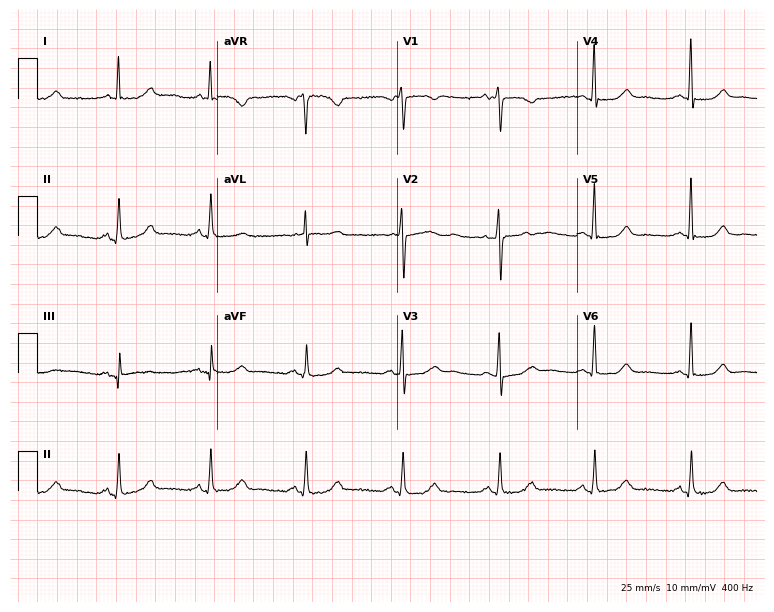
Standard 12-lead ECG recorded from a female, 67 years old. None of these six findings is recorded: first-degree AV block, right bundle branch block, left bundle branch block, sinus bradycardia, atrial fibrillation, sinus tachycardia. Other findings, if any, are not listed.